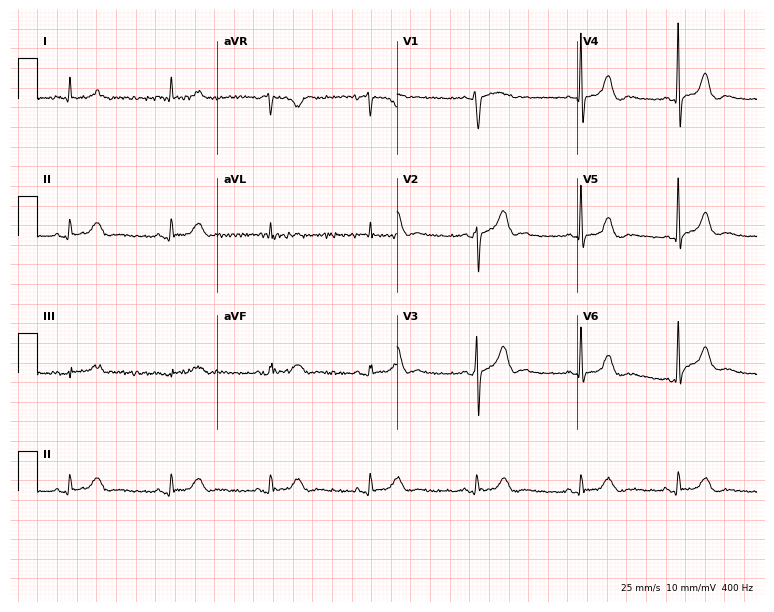
12-lead ECG from a female, 71 years old. No first-degree AV block, right bundle branch block, left bundle branch block, sinus bradycardia, atrial fibrillation or sinus tachycardia recorded for this tracing. Findings outside these six are not listed.